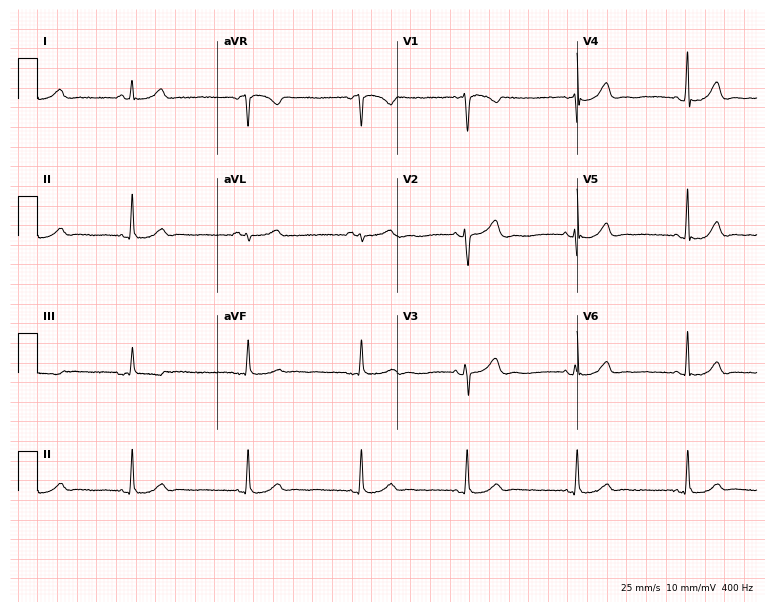
ECG — a 43-year-old female. Labelled as a normal ECG.